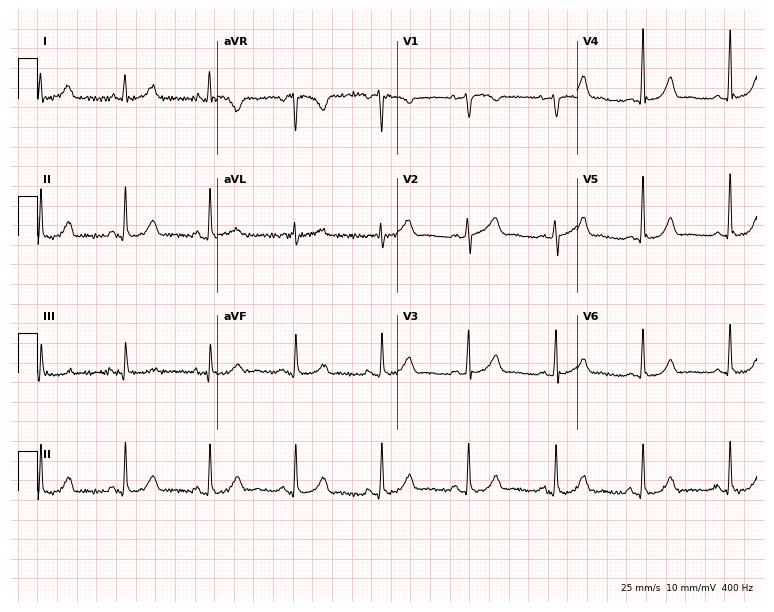
Resting 12-lead electrocardiogram (7.3-second recording at 400 Hz). Patient: a 58-year-old female. None of these six findings is recorded: first-degree AV block, right bundle branch block (RBBB), left bundle branch block (LBBB), sinus bradycardia, atrial fibrillation (AF), sinus tachycardia. Findings outside these six are not listed.